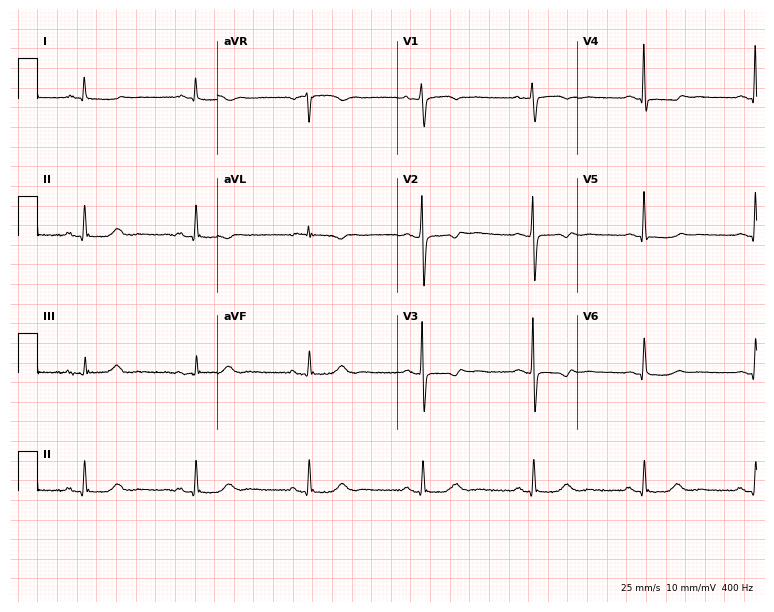
Standard 12-lead ECG recorded from a female patient, 64 years old. None of these six findings is recorded: first-degree AV block, right bundle branch block, left bundle branch block, sinus bradycardia, atrial fibrillation, sinus tachycardia.